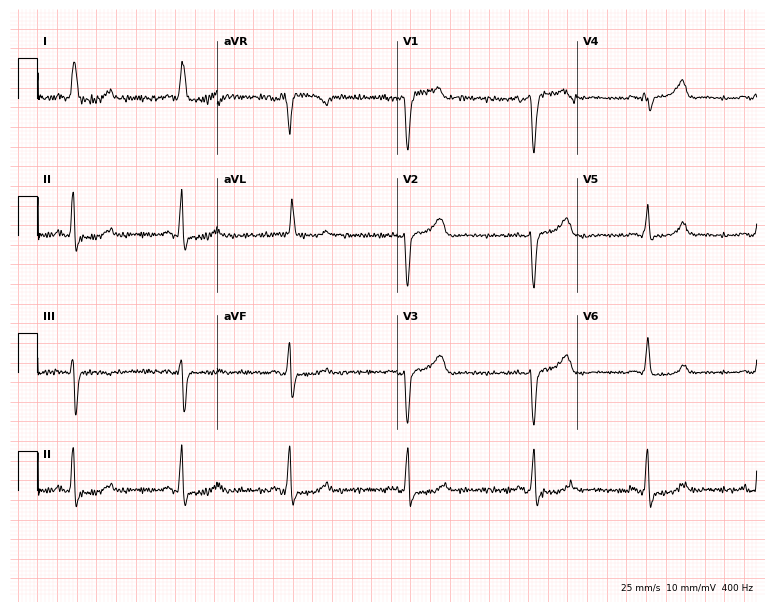
Standard 12-lead ECG recorded from a 67-year-old woman (7.3-second recording at 400 Hz). None of these six findings is recorded: first-degree AV block, right bundle branch block (RBBB), left bundle branch block (LBBB), sinus bradycardia, atrial fibrillation (AF), sinus tachycardia.